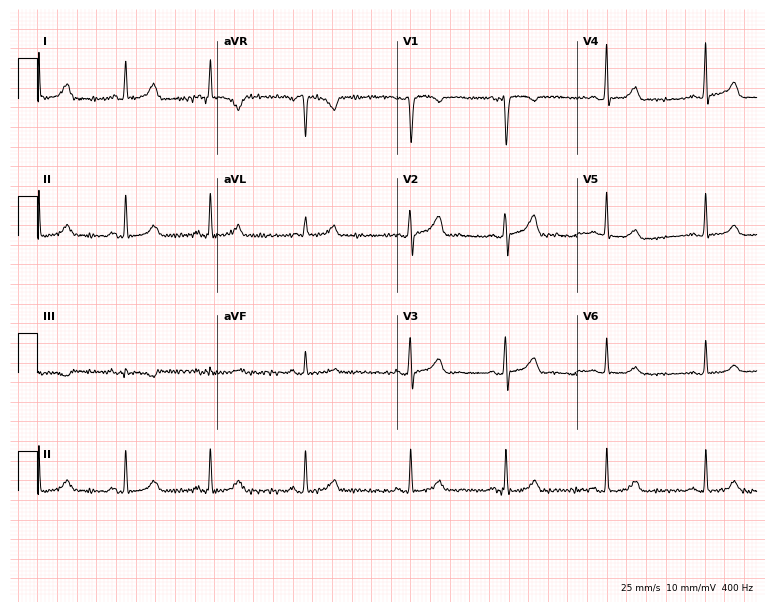
12-lead ECG (7.3-second recording at 400 Hz) from a female, 31 years old. Labelled as a normal ECG.